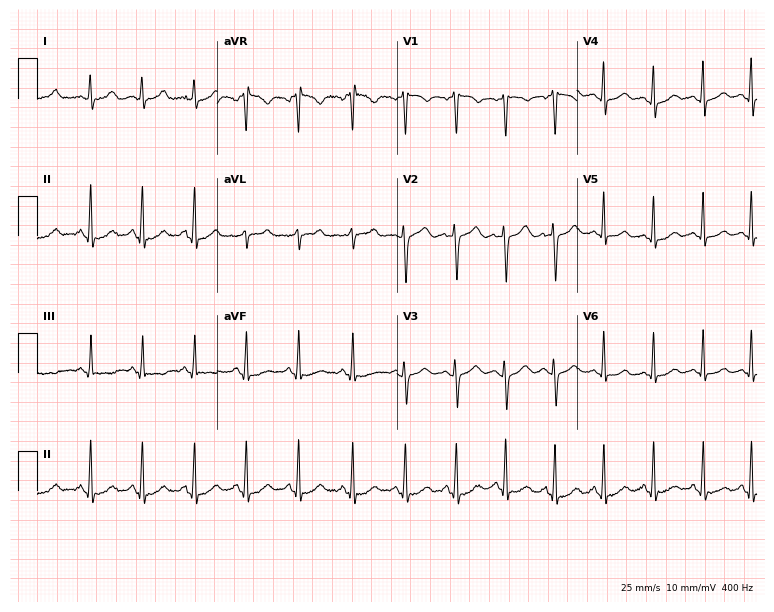
Electrocardiogram, a 20-year-old female patient. Interpretation includes sinus tachycardia (a sinus rate of 100 beats per minute or more).